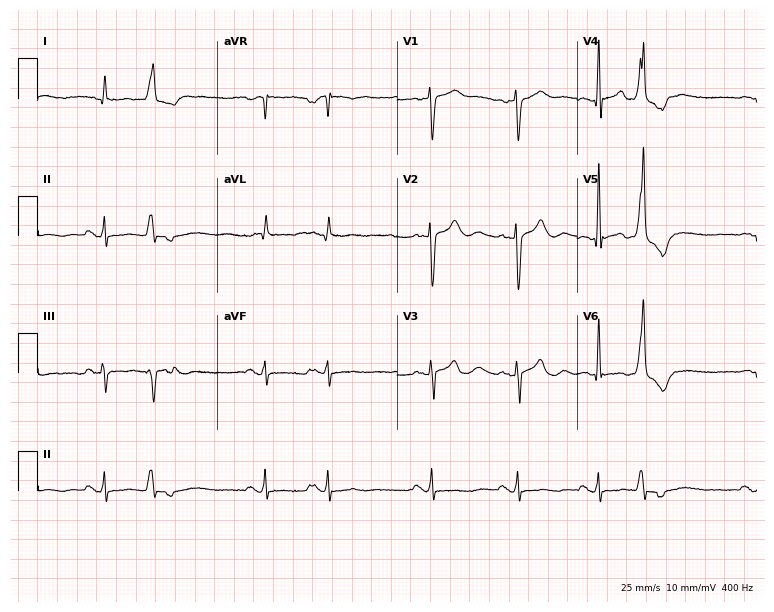
Electrocardiogram (7.3-second recording at 400 Hz), an 83-year-old male. Of the six screened findings (first-degree AV block, right bundle branch block, left bundle branch block, sinus bradycardia, atrial fibrillation, sinus tachycardia), none is recorded.